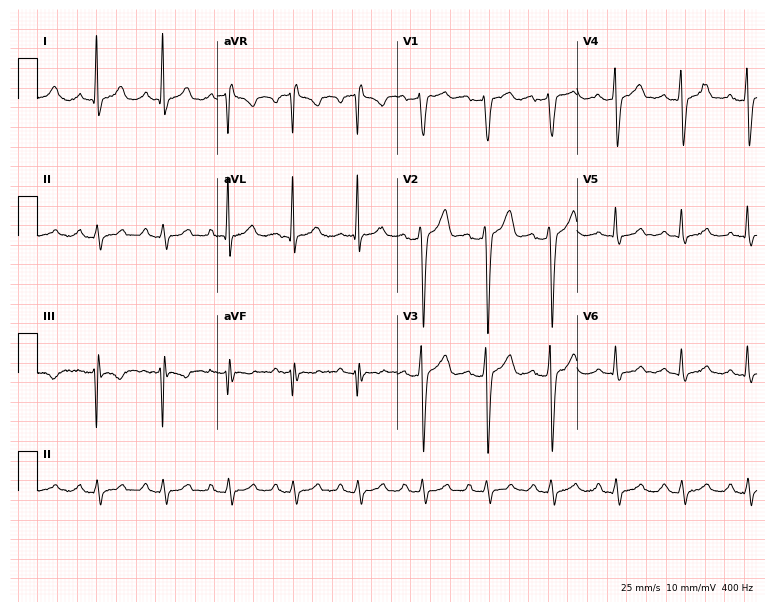
Electrocardiogram, a male patient, 44 years old. Overall reading on record: normal ECG.